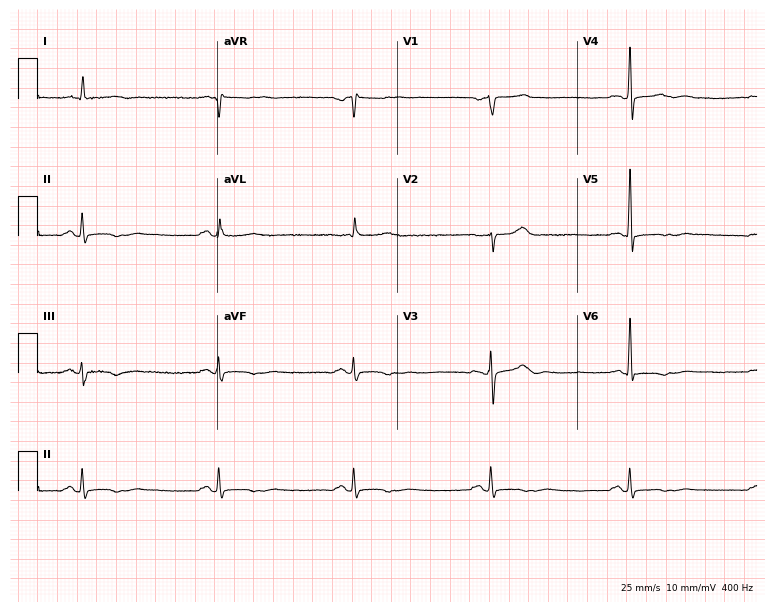
Electrocardiogram (7.3-second recording at 400 Hz), a 76-year-old male. Interpretation includes sinus bradycardia (a sinus rate of 50 beats per minute or less).